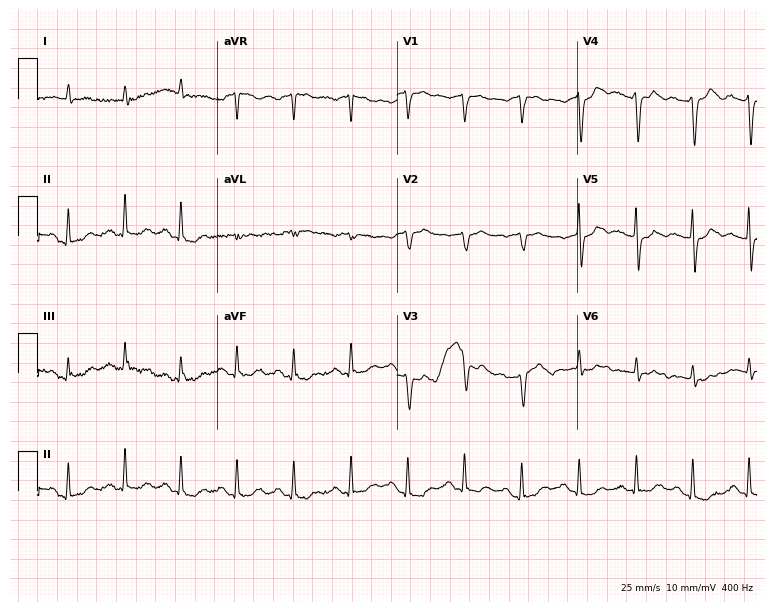
ECG (7.3-second recording at 400 Hz) — an 84-year-old male. Findings include sinus tachycardia (a sinus rate of 100 beats per minute or more).